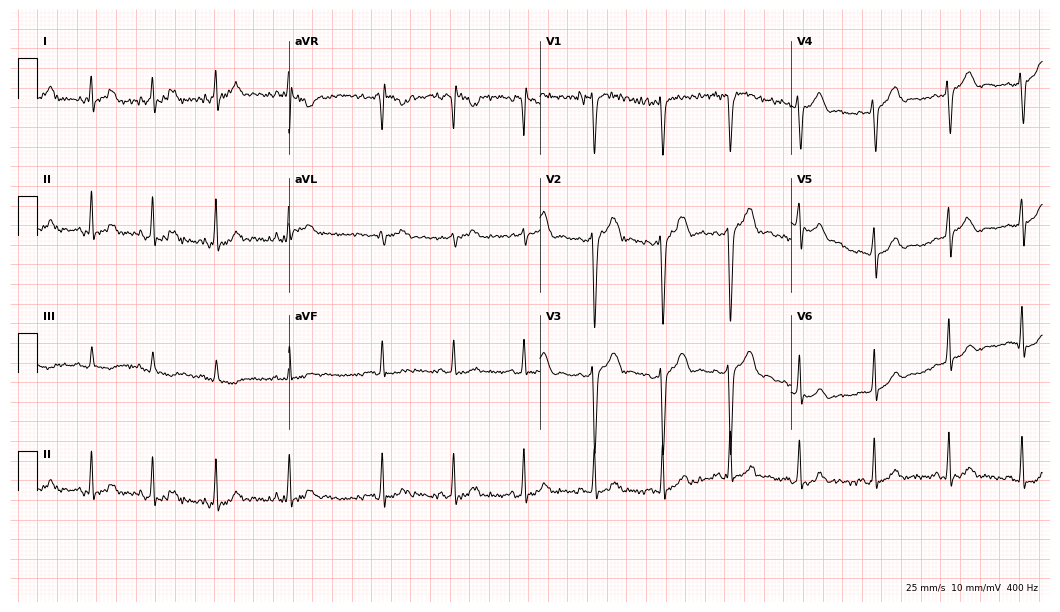
Electrocardiogram (10.2-second recording at 400 Hz), a 24-year-old man. Of the six screened findings (first-degree AV block, right bundle branch block, left bundle branch block, sinus bradycardia, atrial fibrillation, sinus tachycardia), none is recorded.